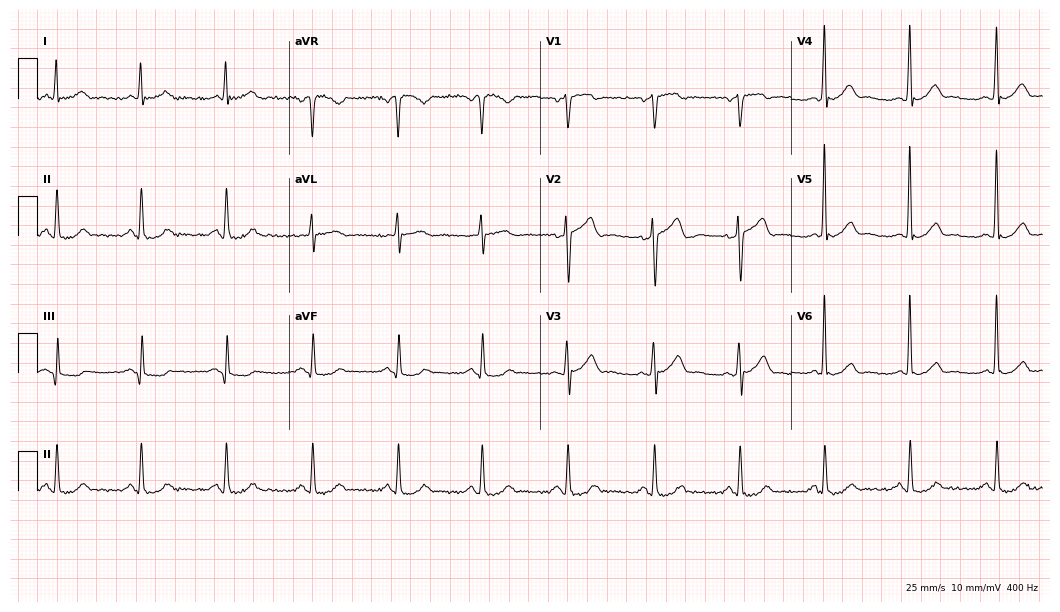
Resting 12-lead electrocardiogram. Patient: a 49-year-old man. Read as a normal ECG.